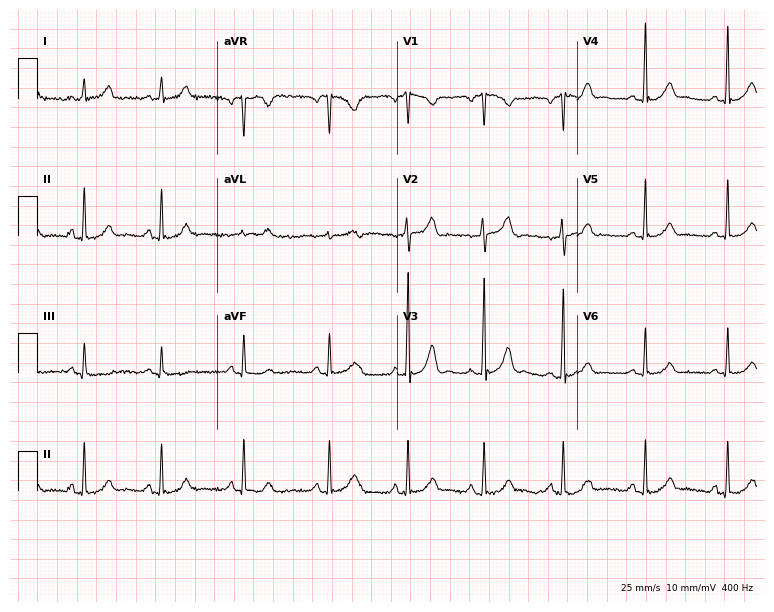
Electrocardiogram (7.3-second recording at 400 Hz), a 51-year-old female. Of the six screened findings (first-degree AV block, right bundle branch block, left bundle branch block, sinus bradycardia, atrial fibrillation, sinus tachycardia), none is recorded. Only these six findings were labelled.